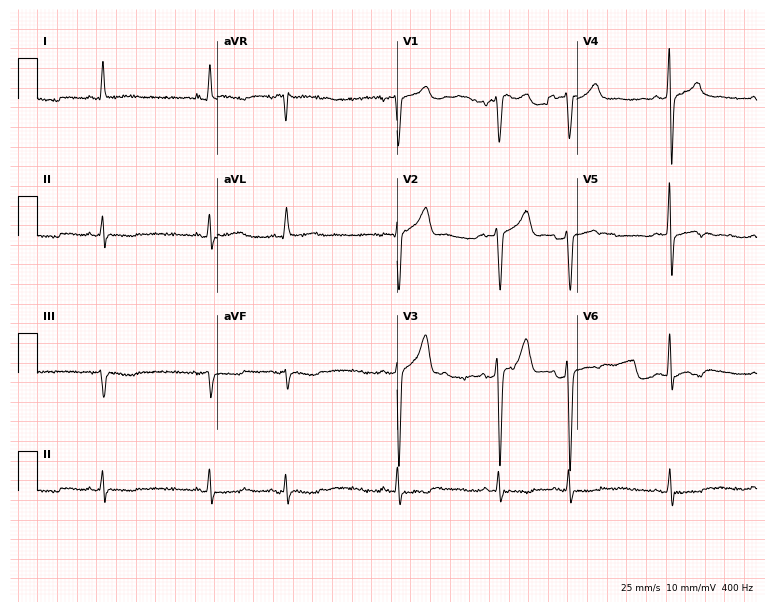
Electrocardiogram, a 70-year-old male patient. Of the six screened findings (first-degree AV block, right bundle branch block (RBBB), left bundle branch block (LBBB), sinus bradycardia, atrial fibrillation (AF), sinus tachycardia), none is recorded. Other findings, if any, are not listed.